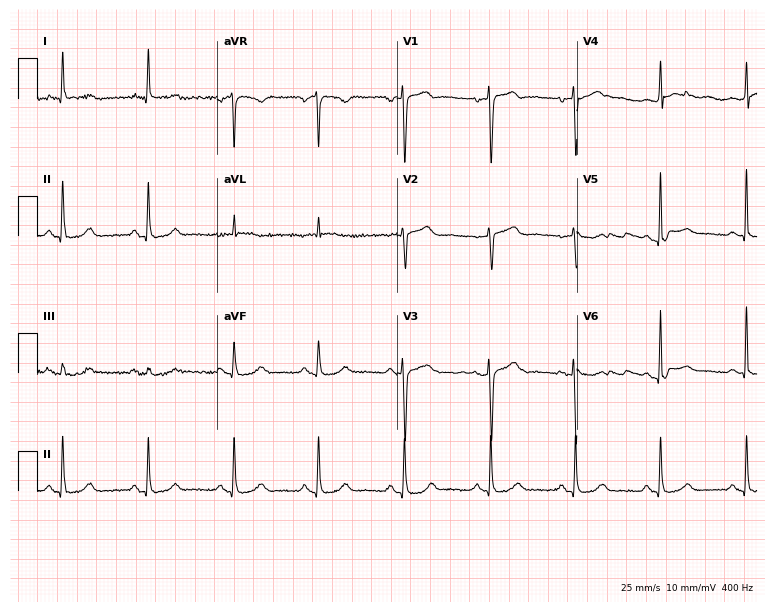
ECG — a female patient, 73 years old. Labelled as a normal ECG.